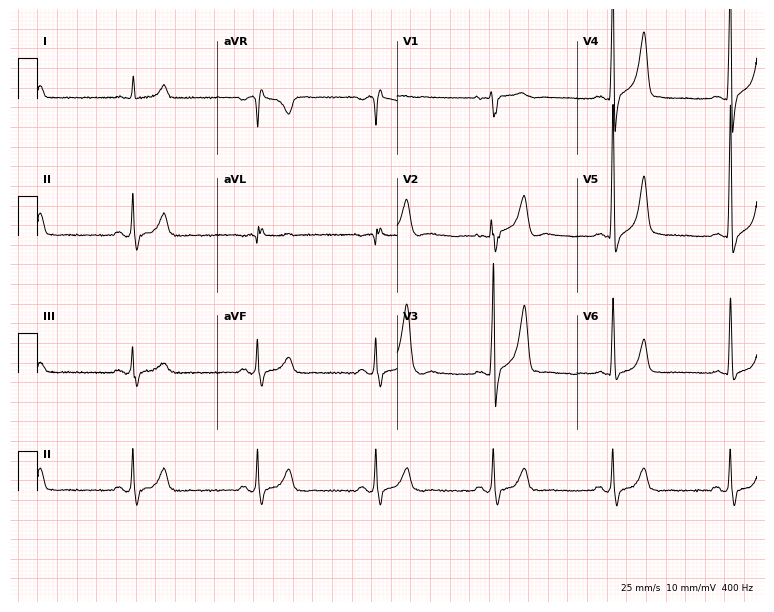
Standard 12-lead ECG recorded from a male, 49 years old (7.3-second recording at 400 Hz). The tracing shows sinus bradycardia (a sinus rate of 50 beats per minute or less).